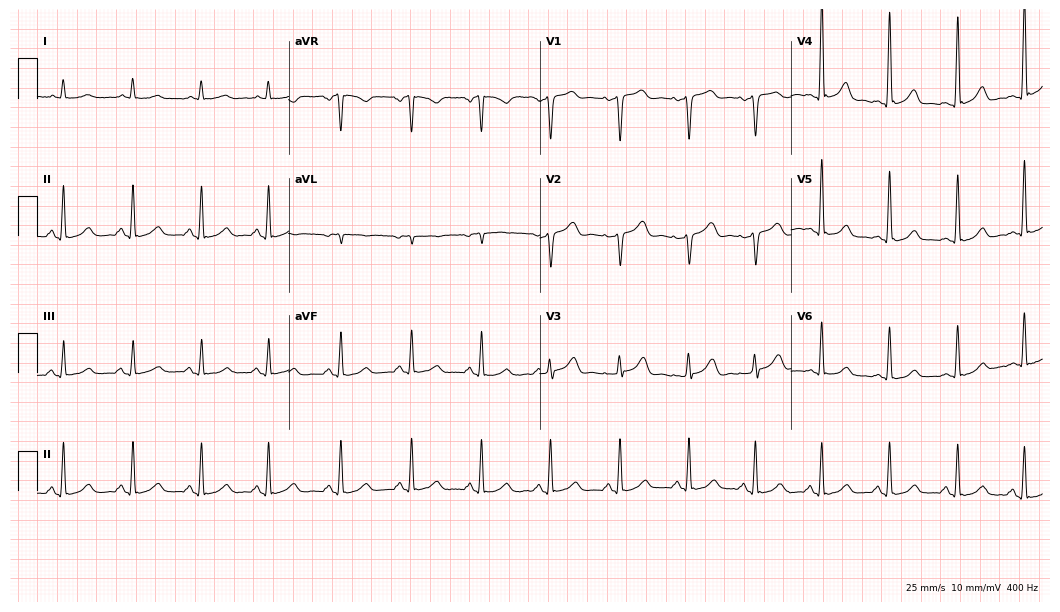
12-lead ECG from a female, 51 years old. Labelled as a normal ECG.